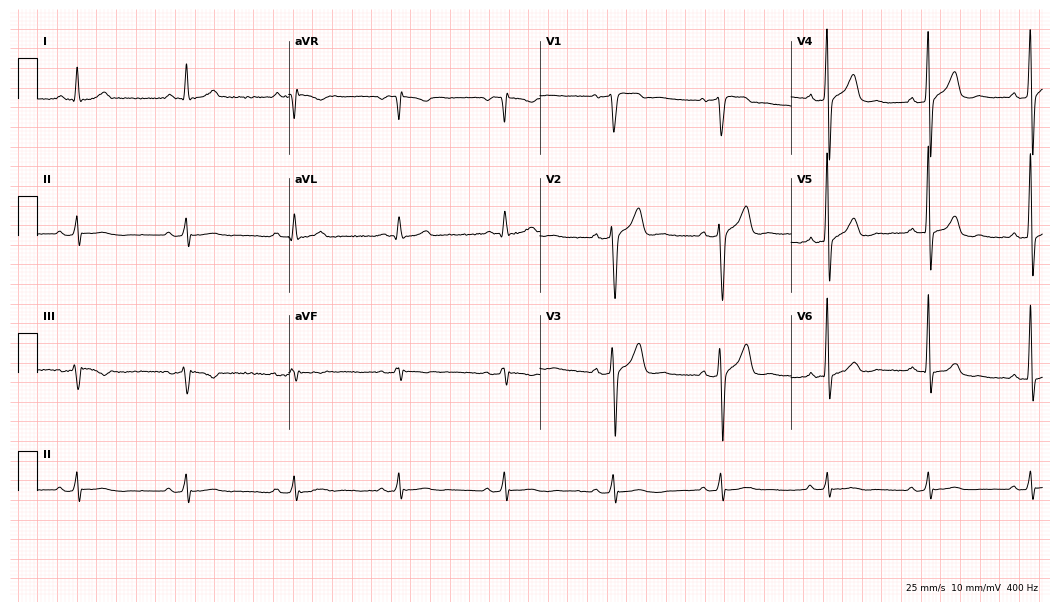
12-lead ECG from a 57-year-old male. Recorded interpretation: within normal limits.